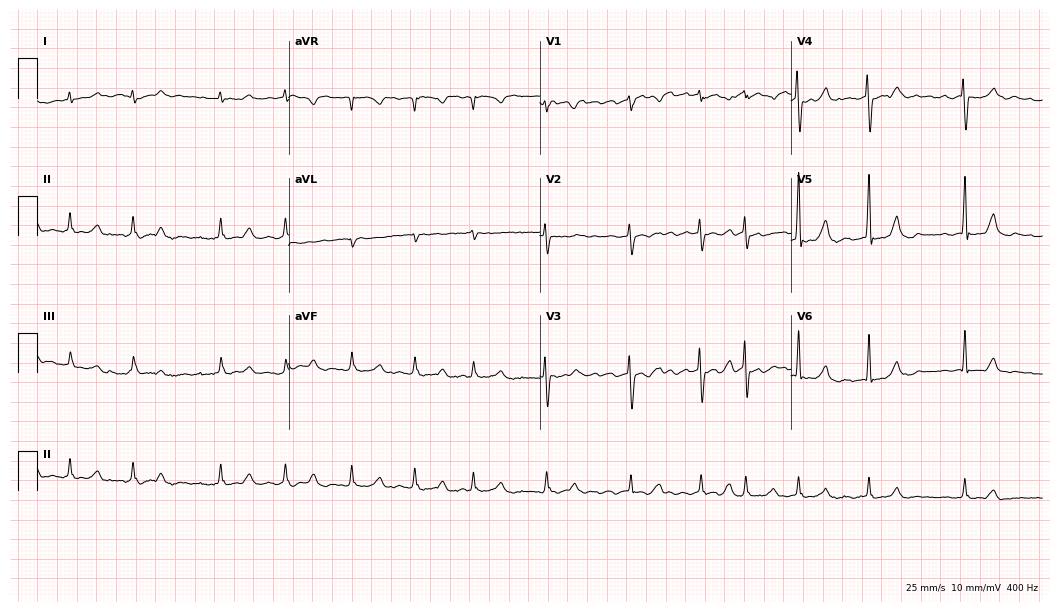
Electrocardiogram, a woman, 63 years old. Of the six screened findings (first-degree AV block, right bundle branch block (RBBB), left bundle branch block (LBBB), sinus bradycardia, atrial fibrillation (AF), sinus tachycardia), none is recorded.